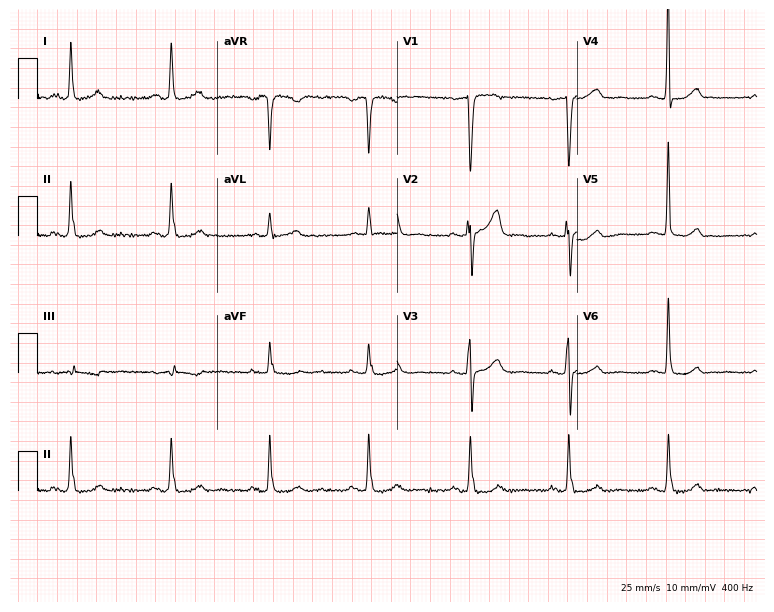
12-lead ECG from a female, 44 years old. No first-degree AV block, right bundle branch block (RBBB), left bundle branch block (LBBB), sinus bradycardia, atrial fibrillation (AF) or sinus tachycardia recorded for this tracing.